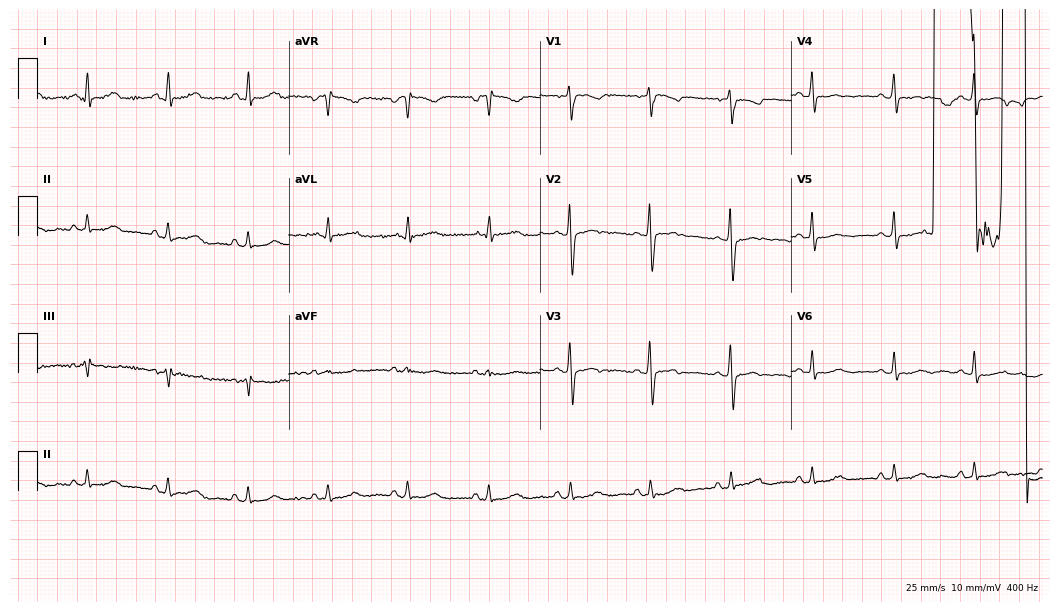
ECG — a 54-year-old female patient. Screened for six findings — first-degree AV block, right bundle branch block, left bundle branch block, sinus bradycardia, atrial fibrillation, sinus tachycardia — none is recorded. Only these six findings were labelled.